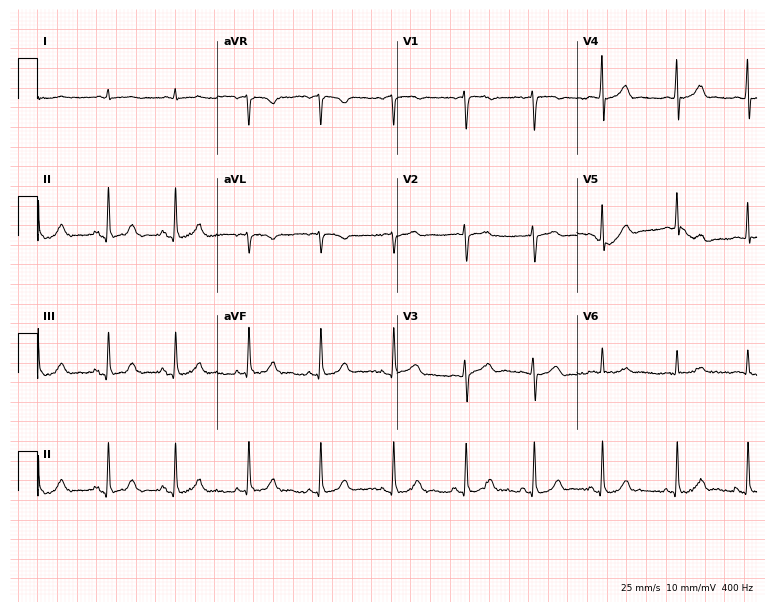
Resting 12-lead electrocardiogram (7.3-second recording at 400 Hz). Patient: a male, 80 years old. None of these six findings is recorded: first-degree AV block, right bundle branch block, left bundle branch block, sinus bradycardia, atrial fibrillation, sinus tachycardia. Only these six findings were labelled.